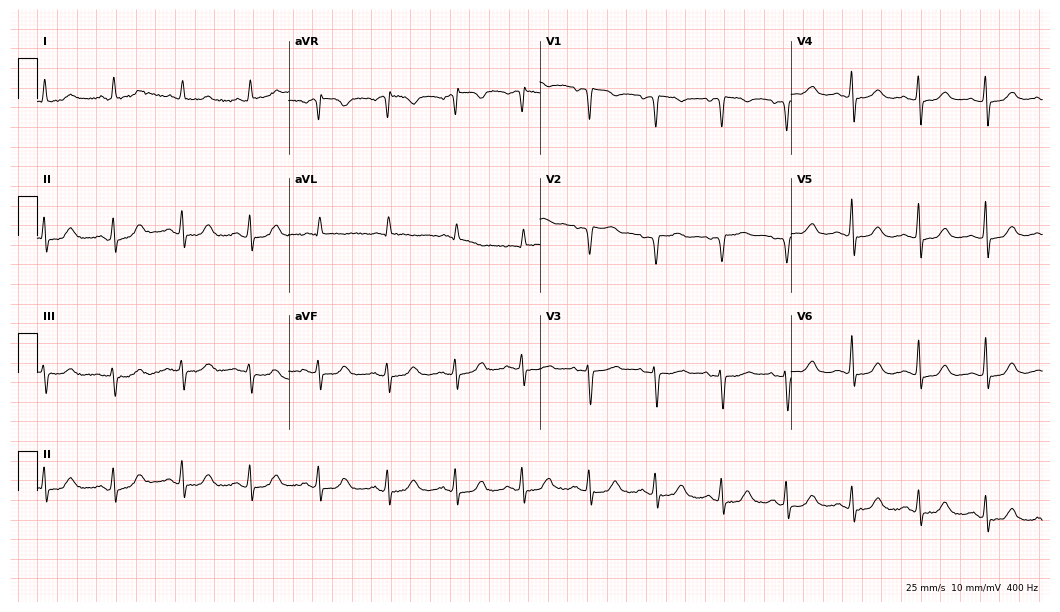
Resting 12-lead electrocardiogram (10.2-second recording at 400 Hz). Patient: a female, 59 years old. None of these six findings is recorded: first-degree AV block, right bundle branch block (RBBB), left bundle branch block (LBBB), sinus bradycardia, atrial fibrillation (AF), sinus tachycardia. Only these six findings were labelled.